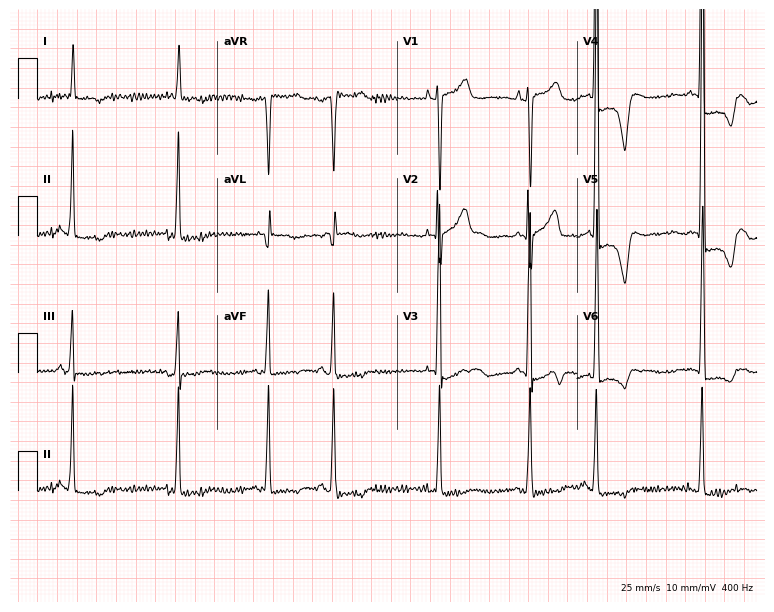
Electrocardiogram (7.3-second recording at 400 Hz), a 74-year-old female patient. Of the six screened findings (first-degree AV block, right bundle branch block (RBBB), left bundle branch block (LBBB), sinus bradycardia, atrial fibrillation (AF), sinus tachycardia), none is recorded.